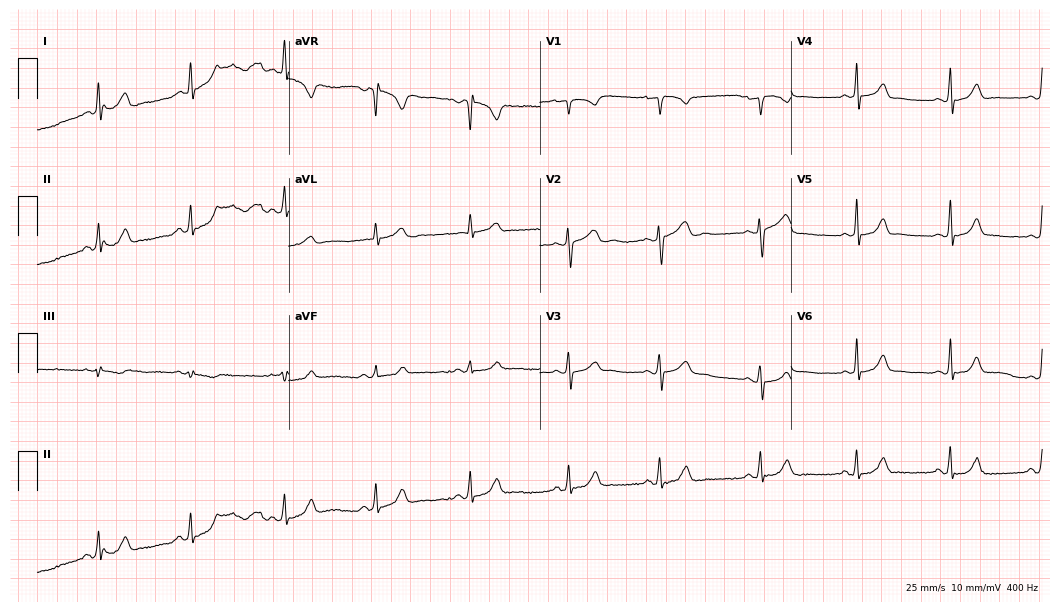
Resting 12-lead electrocardiogram. Patient: a woman, 24 years old. Read as a normal ECG.